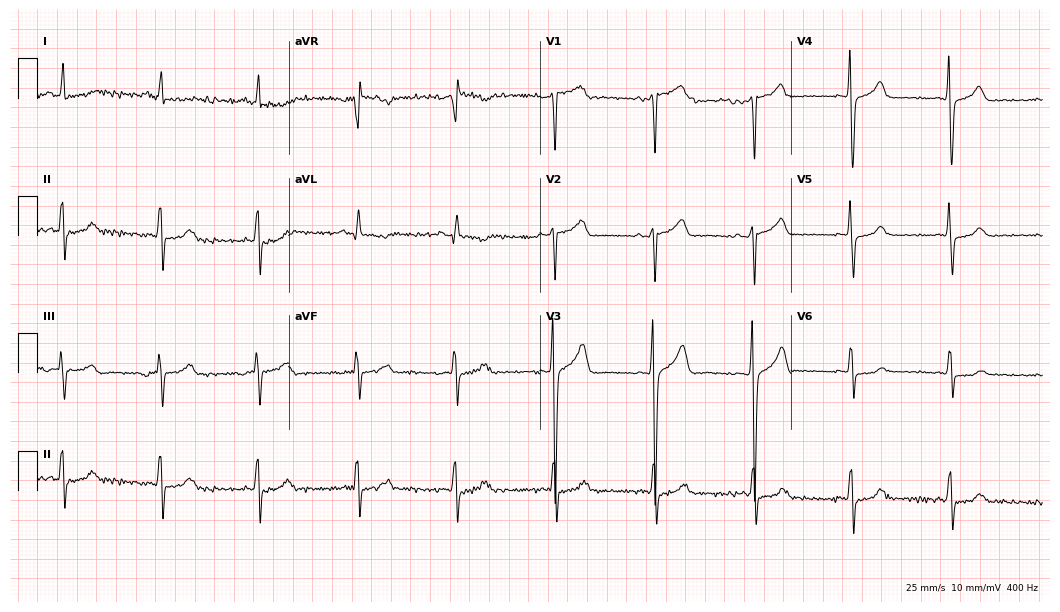
Electrocardiogram, a 36-year-old female patient. Of the six screened findings (first-degree AV block, right bundle branch block, left bundle branch block, sinus bradycardia, atrial fibrillation, sinus tachycardia), none is recorded.